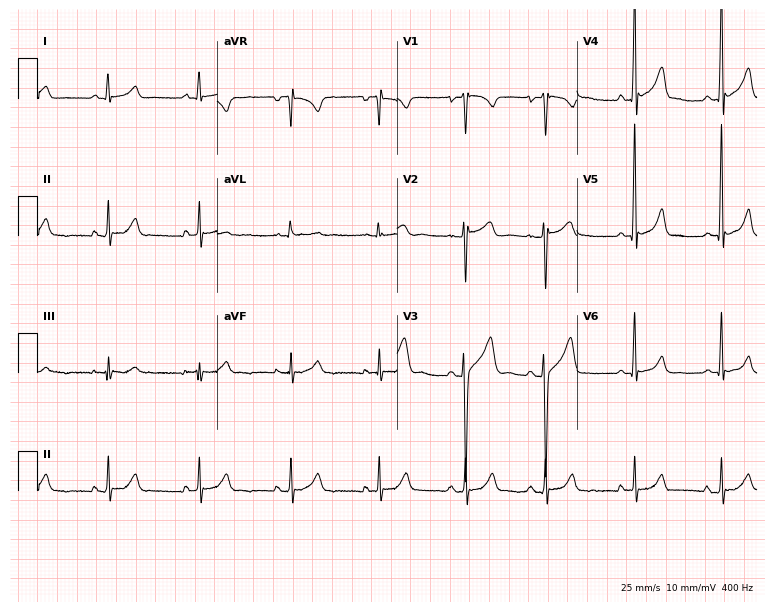
12-lead ECG from a male patient, 18 years old (7.3-second recording at 400 Hz). No first-degree AV block, right bundle branch block (RBBB), left bundle branch block (LBBB), sinus bradycardia, atrial fibrillation (AF) or sinus tachycardia recorded for this tracing. Findings outside these six are not listed.